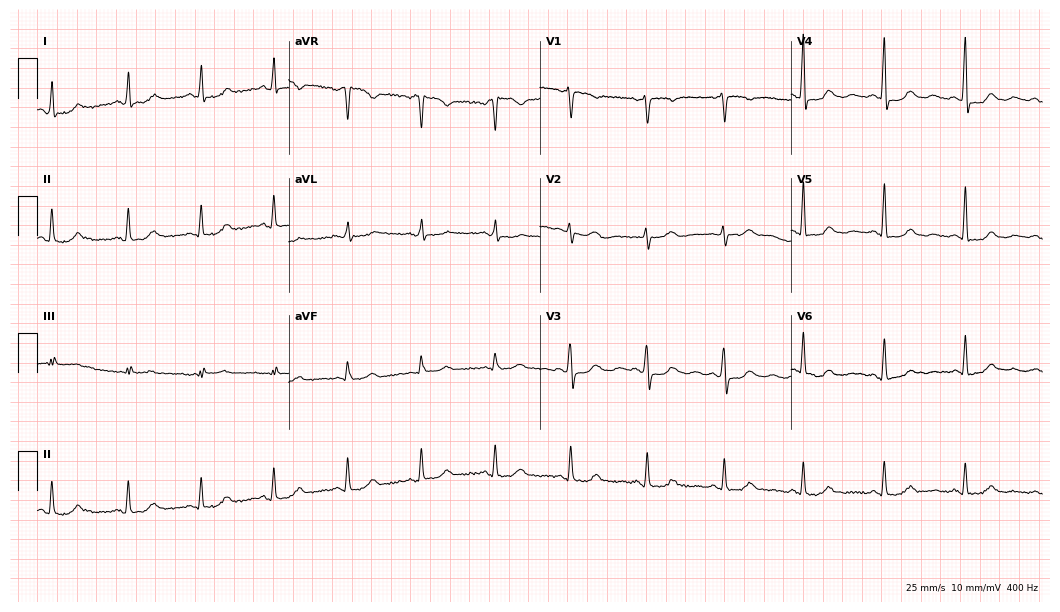
12-lead ECG from a woman, 51 years old. Labelled as a normal ECG.